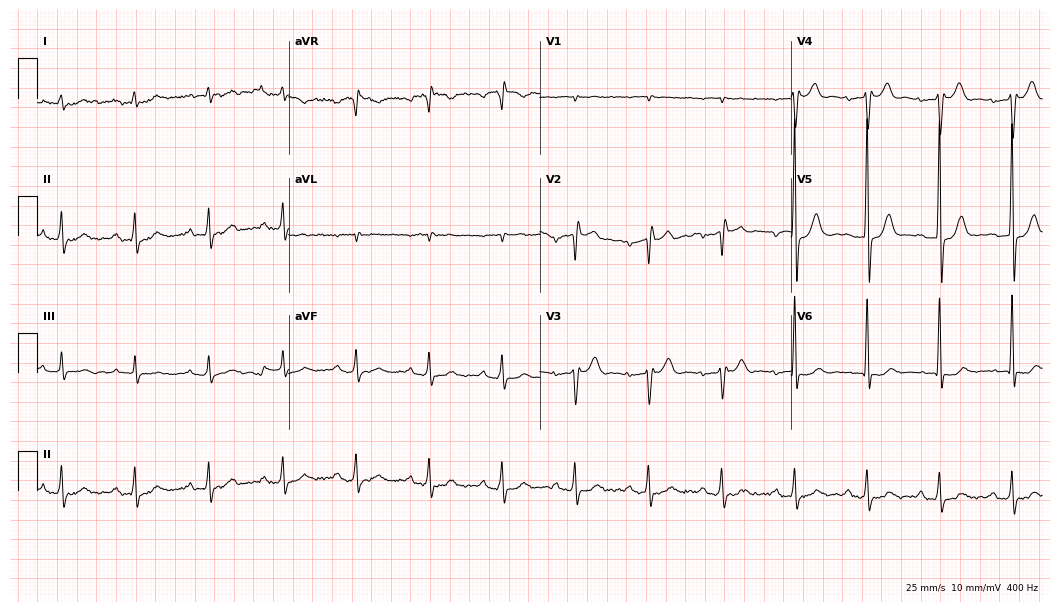
Standard 12-lead ECG recorded from a 68-year-old man. Read as a normal ECG.